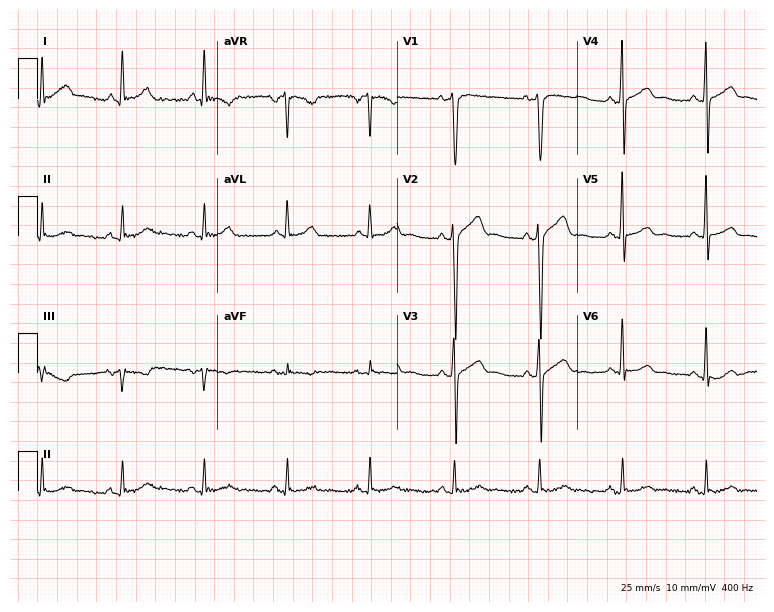
Electrocardiogram, a male, 49 years old. Of the six screened findings (first-degree AV block, right bundle branch block, left bundle branch block, sinus bradycardia, atrial fibrillation, sinus tachycardia), none is recorded. Other findings, if any, are not listed.